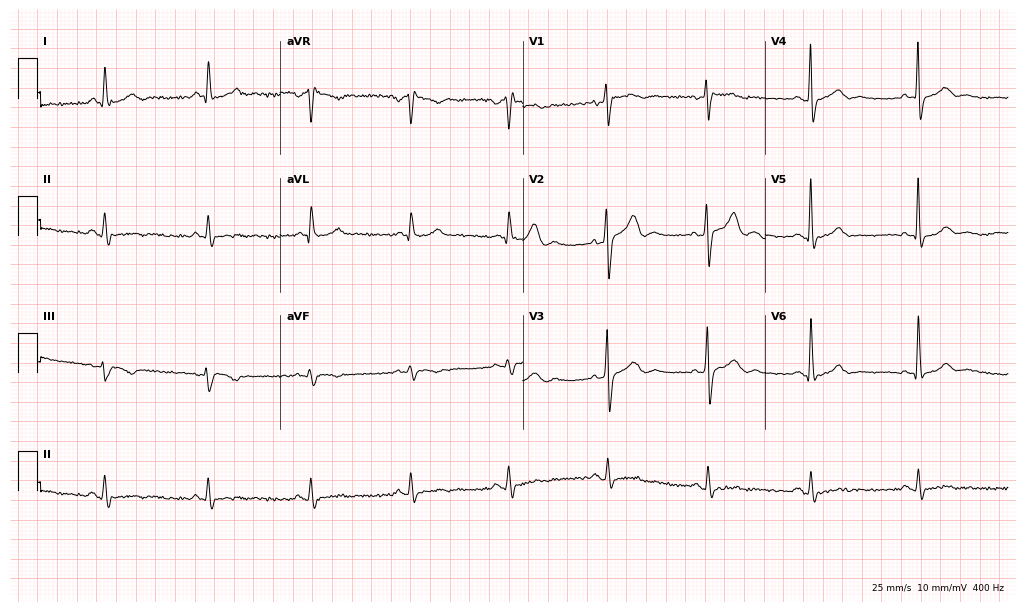
ECG (9.9-second recording at 400 Hz) — a male, 49 years old. Screened for six findings — first-degree AV block, right bundle branch block (RBBB), left bundle branch block (LBBB), sinus bradycardia, atrial fibrillation (AF), sinus tachycardia — none is recorded.